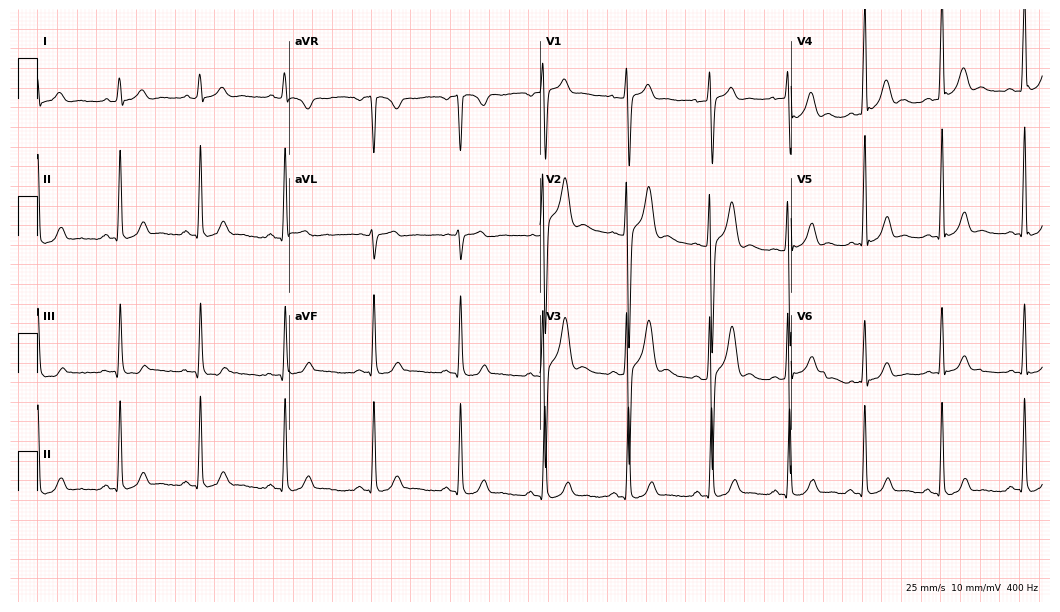
Standard 12-lead ECG recorded from a 24-year-old man (10.2-second recording at 400 Hz). Read as a normal ECG.